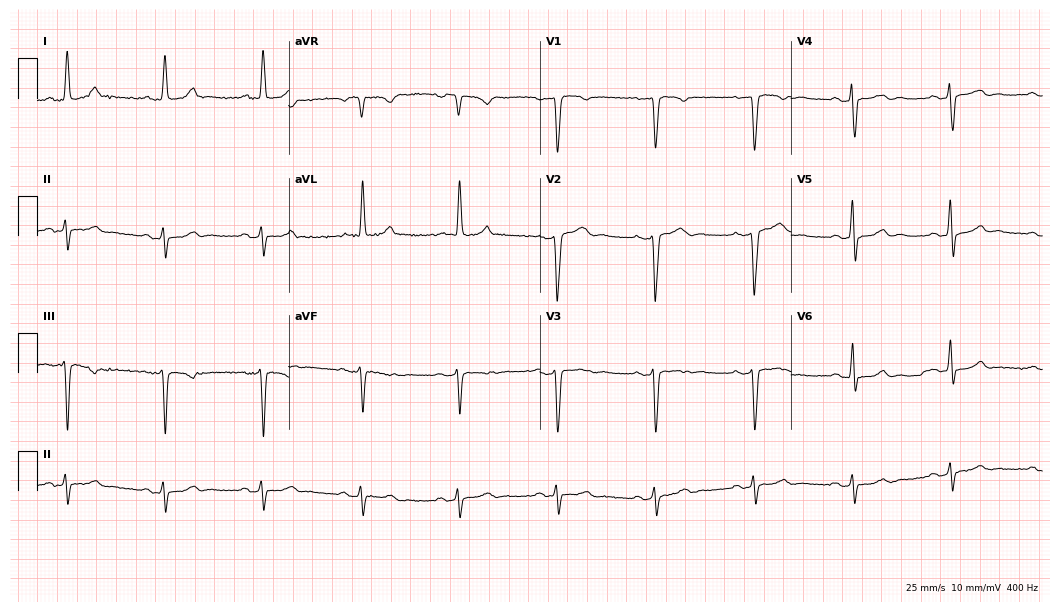
Standard 12-lead ECG recorded from a 72-year-old man. None of these six findings is recorded: first-degree AV block, right bundle branch block (RBBB), left bundle branch block (LBBB), sinus bradycardia, atrial fibrillation (AF), sinus tachycardia.